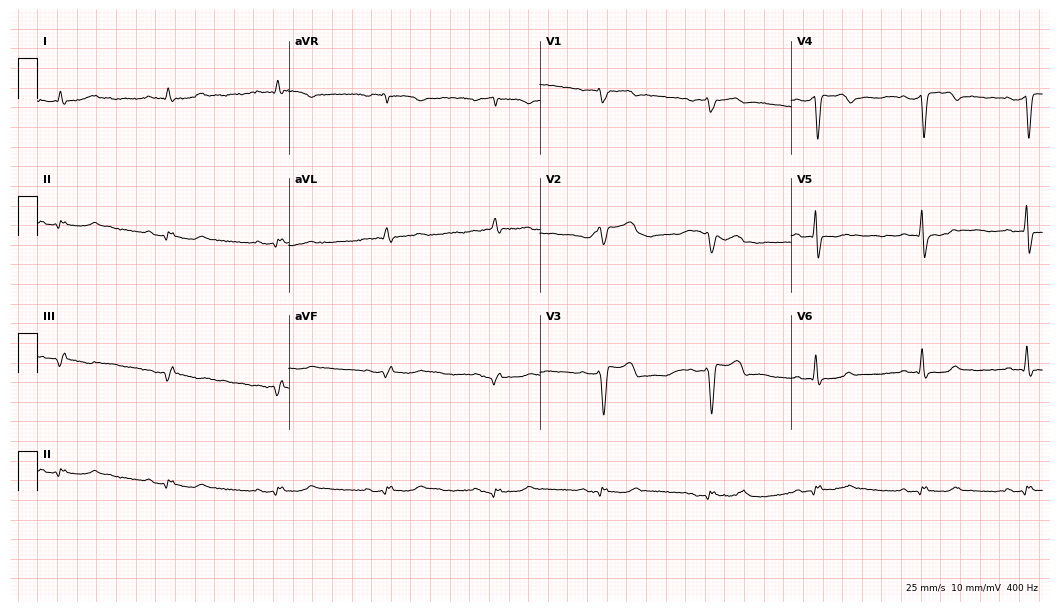
12-lead ECG from a man, 61 years old. Screened for six findings — first-degree AV block, right bundle branch block, left bundle branch block, sinus bradycardia, atrial fibrillation, sinus tachycardia — none is recorded. Only these six findings were labelled.